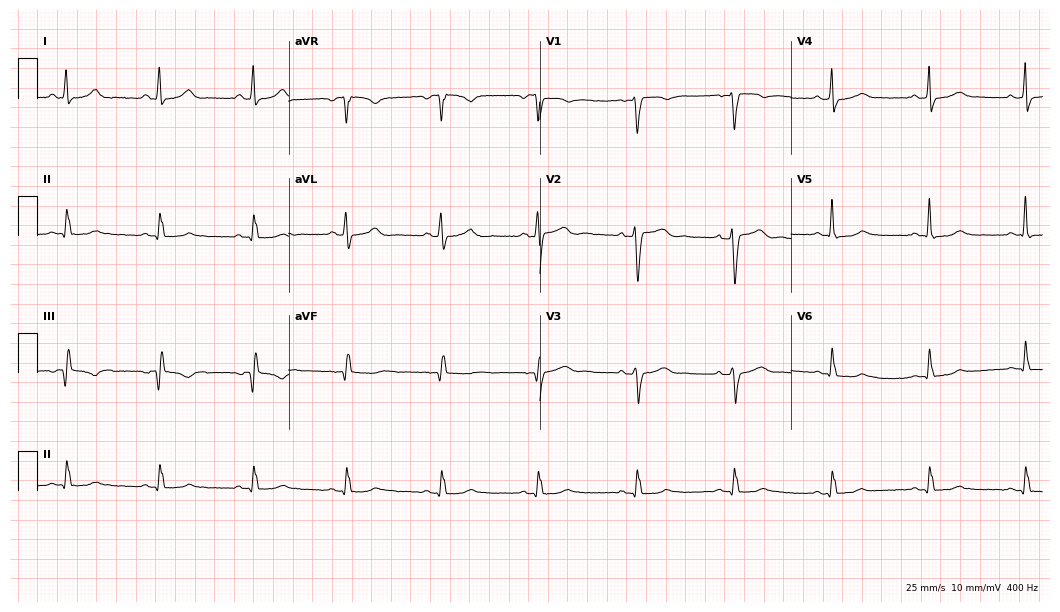
Standard 12-lead ECG recorded from a 42-year-old woman. None of these six findings is recorded: first-degree AV block, right bundle branch block, left bundle branch block, sinus bradycardia, atrial fibrillation, sinus tachycardia. Only these six findings were labelled.